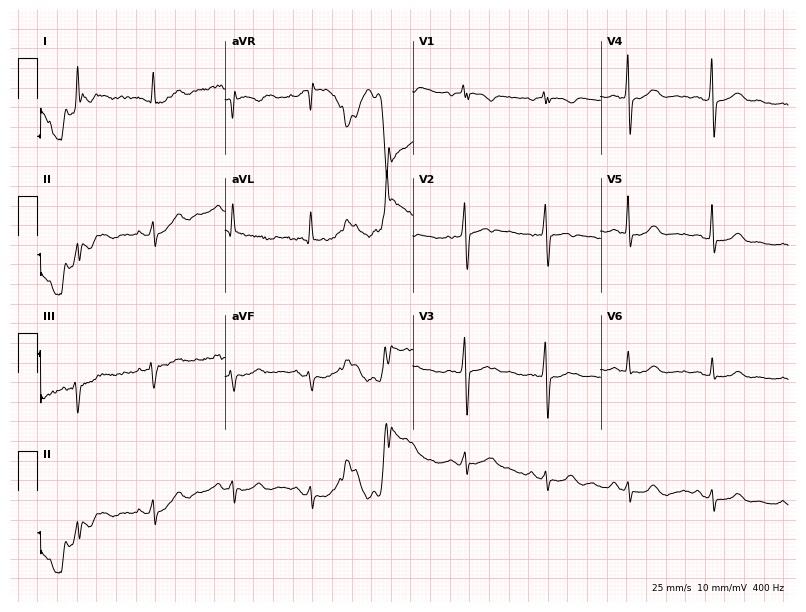
Standard 12-lead ECG recorded from a 67-year-old man. None of these six findings is recorded: first-degree AV block, right bundle branch block, left bundle branch block, sinus bradycardia, atrial fibrillation, sinus tachycardia. Only these six findings were labelled.